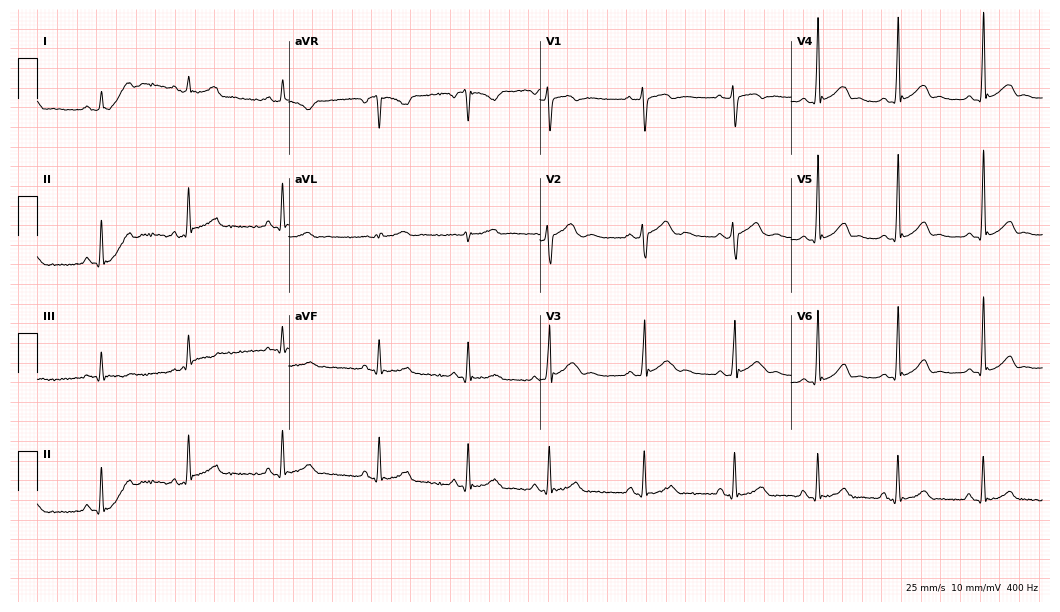
12-lead ECG (10.2-second recording at 400 Hz) from a male patient, 21 years old. Screened for six findings — first-degree AV block, right bundle branch block, left bundle branch block, sinus bradycardia, atrial fibrillation, sinus tachycardia — none is recorded. Only these six findings were labelled.